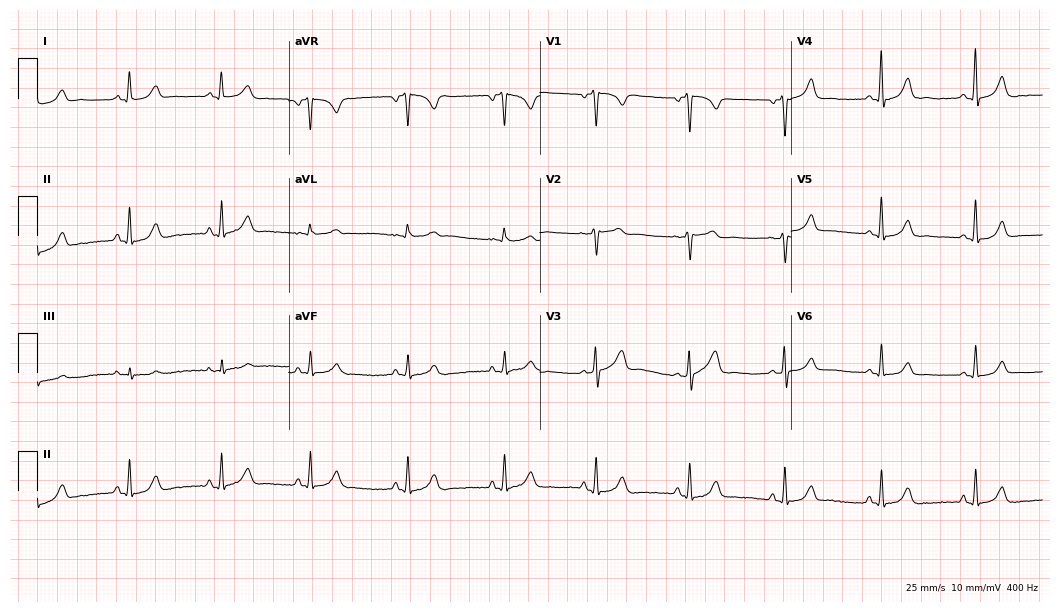
12-lead ECG (10.2-second recording at 400 Hz) from a 38-year-old female patient. Screened for six findings — first-degree AV block, right bundle branch block, left bundle branch block, sinus bradycardia, atrial fibrillation, sinus tachycardia — none is recorded. Only these six findings were labelled.